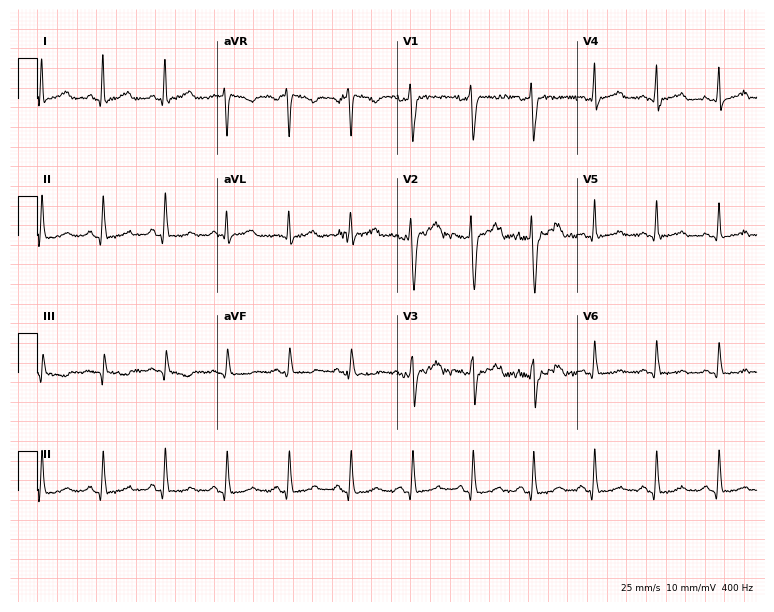
Resting 12-lead electrocardiogram (7.3-second recording at 400 Hz). Patient: a female, 28 years old. None of these six findings is recorded: first-degree AV block, right bundle branch block, left bundle branch block, sinus bradycardia, atrial fibrillation, sinus tachycardia.